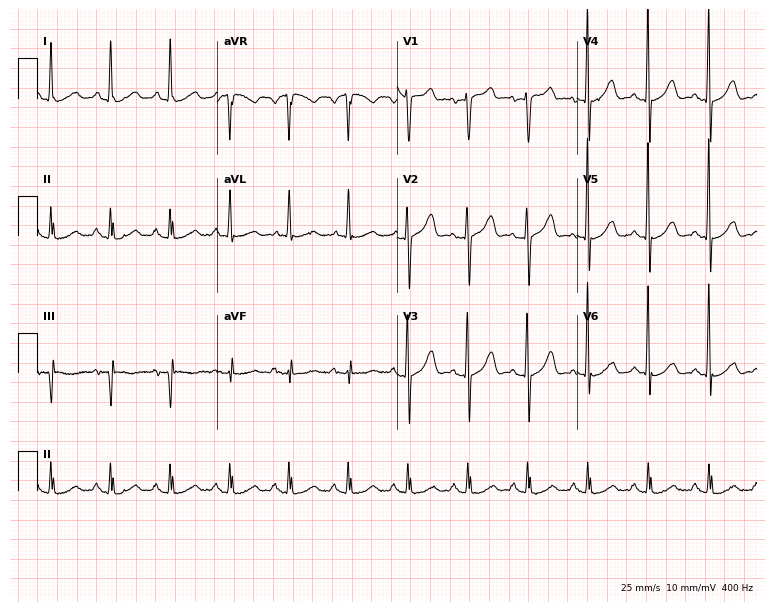
ECG — a 78-year-old female patient. Labelled as a normal ECG.